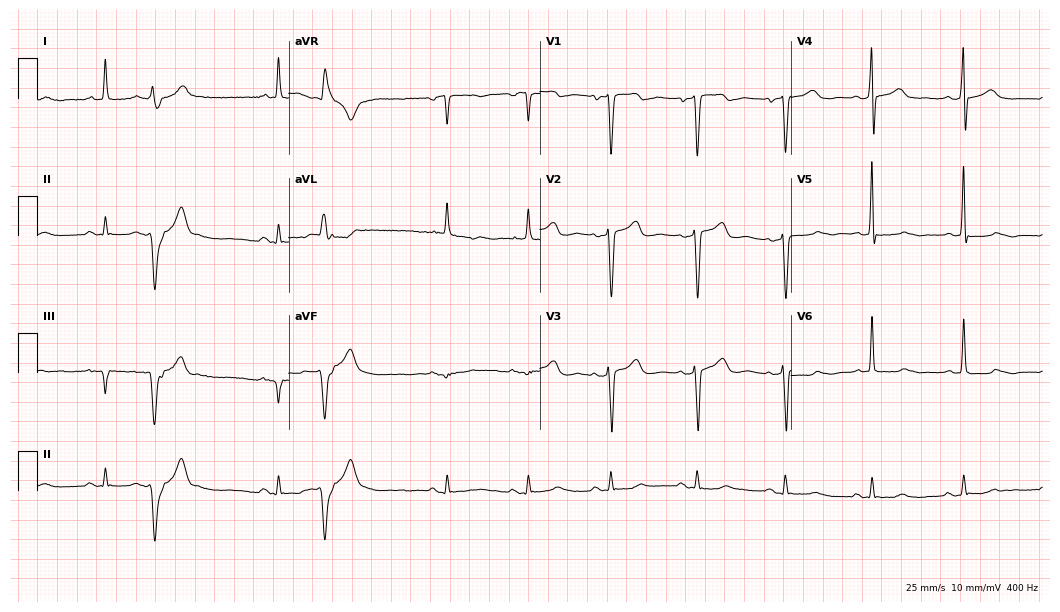
ECG (10.2-second recording at 400 Hz) — a woman, 71 years old. Screened for six findings — first-degree AV block, right bundle branch block (RBBB), left bundle branch block (LBBB), sinus bradycardia, atrial fibrillation (AF), sinus tachycardia — none is recorded. Other findings, if any, are not listed.